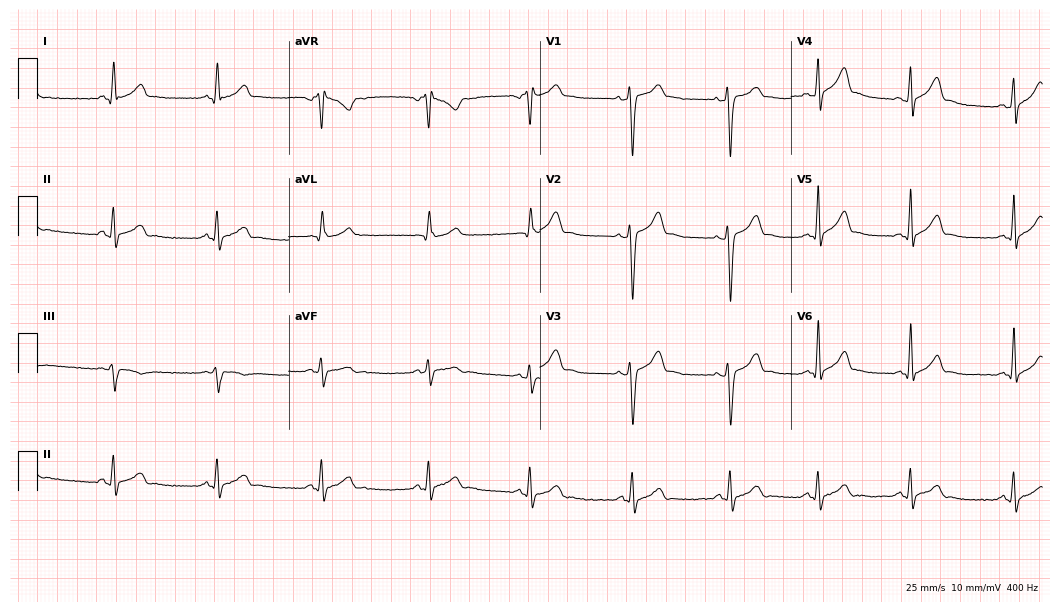
Standard 12-lead ECG recorded from a 32-year-old male patient (10.2-second recording at 400 Hz). None of these six findings is recorded: first-degree AV block, right bundle branch block, left bundle branch block, sinus bradycardia, atrial fibrillation, sinus tachycardia.